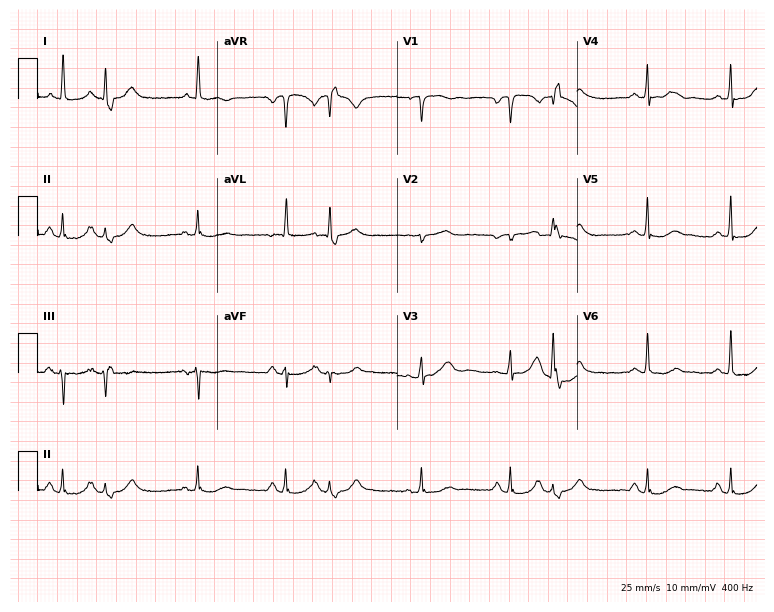
ECG — a 73-year-old woman. Screened for six findings — first-degree AV block, right bundle branch block (RBBB), left bundle branch block (LBBB), sinus bradycardia, atrial fibrillation (AF), sinus tachycardia — none is recorded.